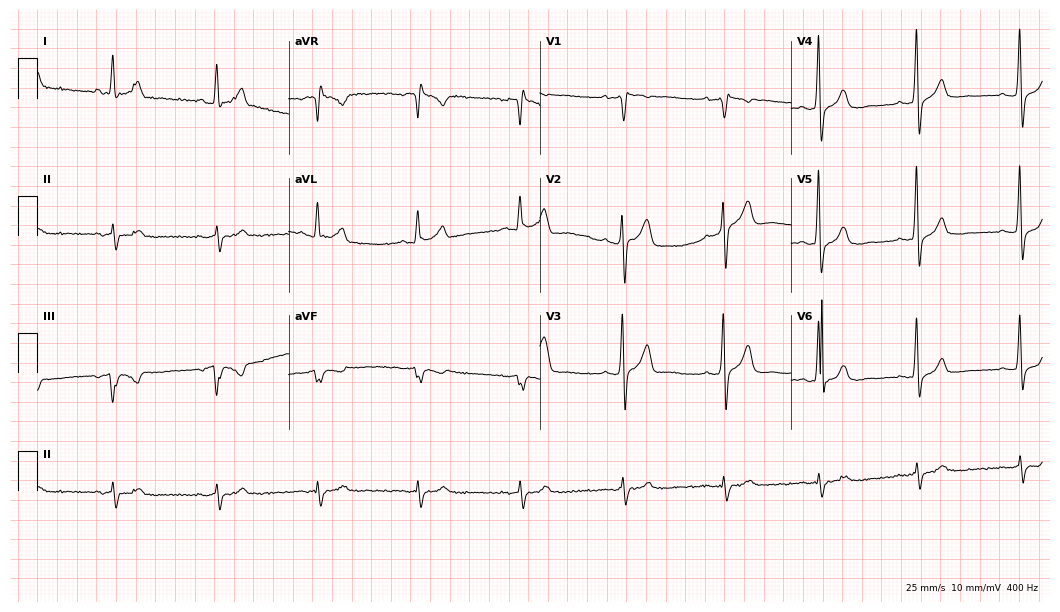
Electrocardiogram, a 54-year-old male patient. Of the six screened findings (first-degree AV block, right bundle branch block, left bundle branch block, sinus bradycardia, atrial fibrillation, sinus tachycardia), none is recorded.